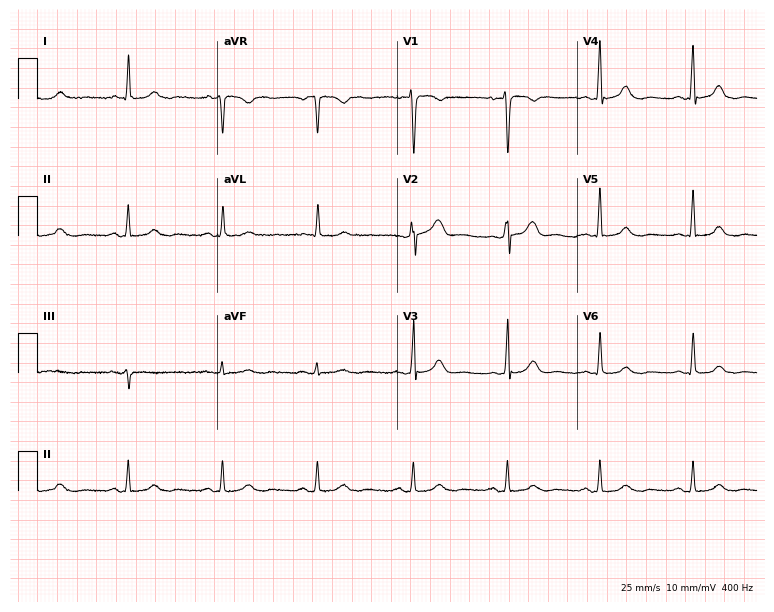
Standard 12-lead ECG recorded from a 52-year-old female (7.3-second recording at 400 Hz). Read as a normal ECG.